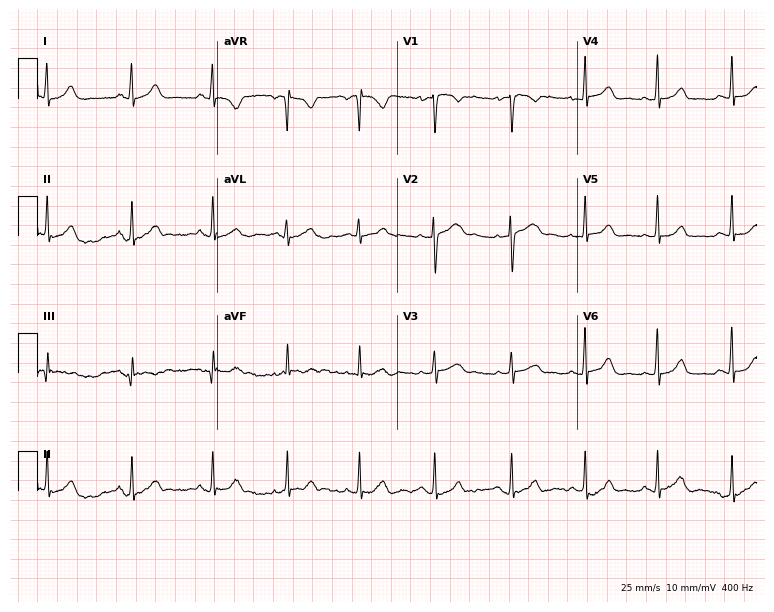
12-lead ECG from a female, 22 years old (7.3-second recording at 400 Hz). Recorded interpretation: within normal limits.